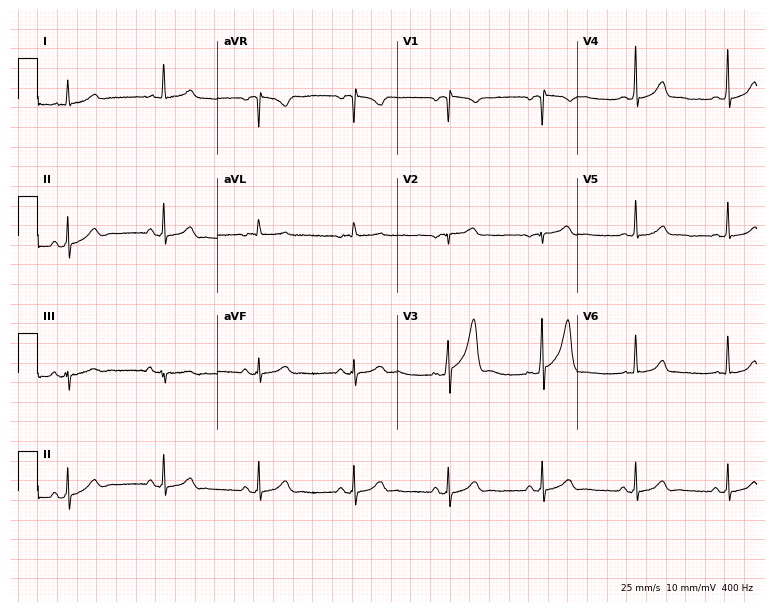
12-lead ECG from a male, 75 years old (7.3-second recording at 400 Hz). Recorded interpretation: within normal limits.